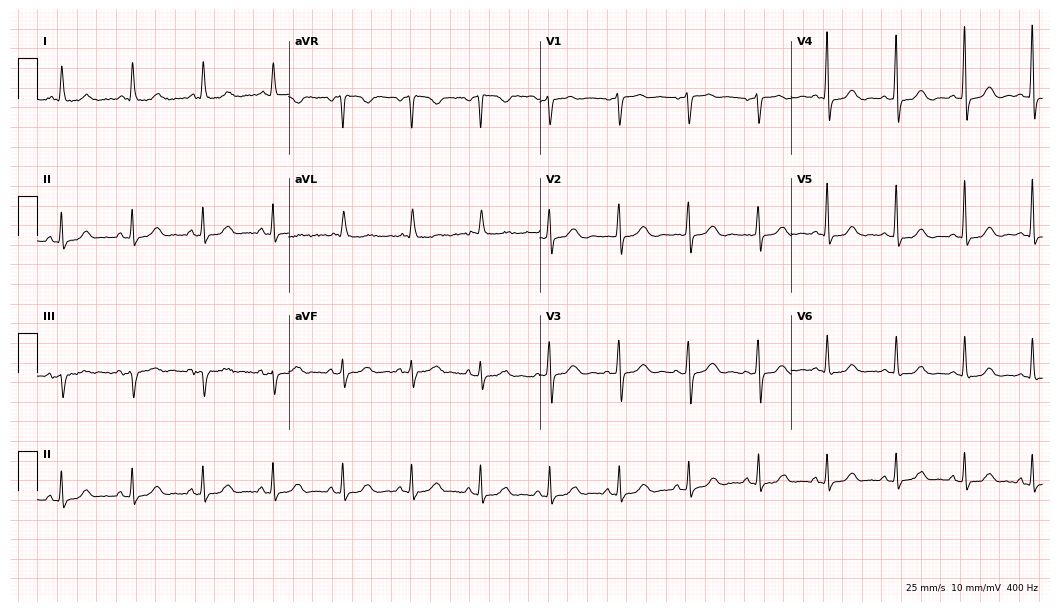
12-lead ECG (10.2-second recording at 400 Hz) from a female patient, 79 years old. Labelled as a normal ECG.